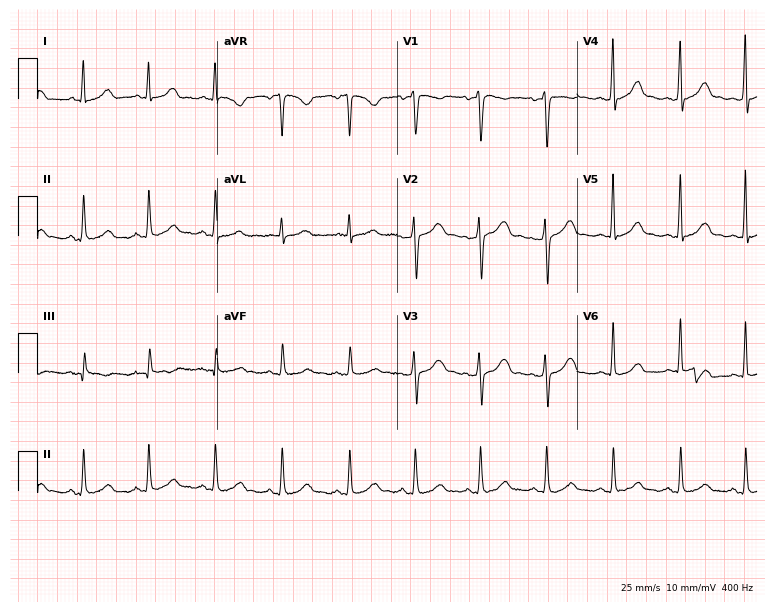
12-lead ECG (7.3-second recording at 400 Hz) from a woman, 39 years old. Labelled as a normal ECG.